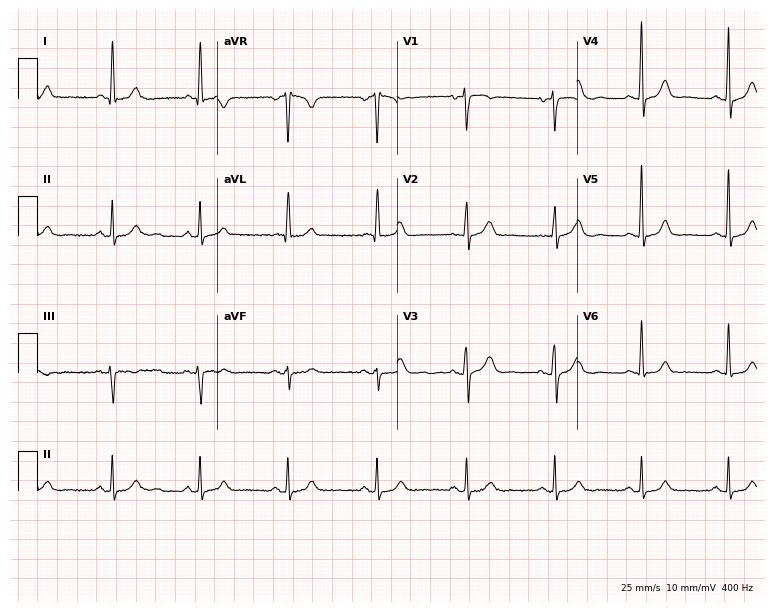
ECG — a 63-year-old female patient. Labelled as a normal ECG.